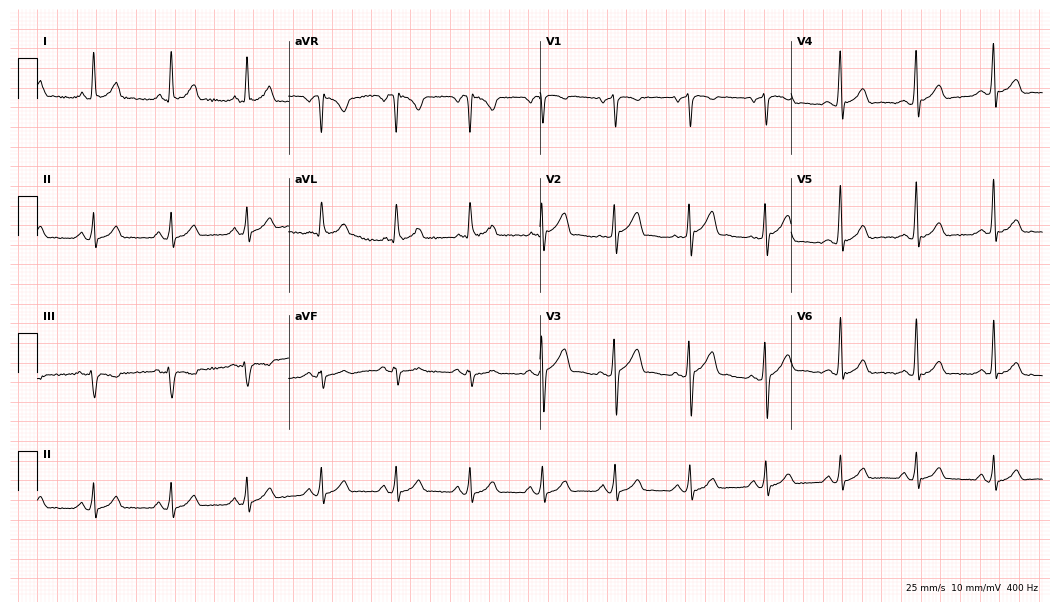
12-lead ECG from a 50-year-old male (10.2-second recording at 400 Hz). Recorded interpretation: within normal limits.